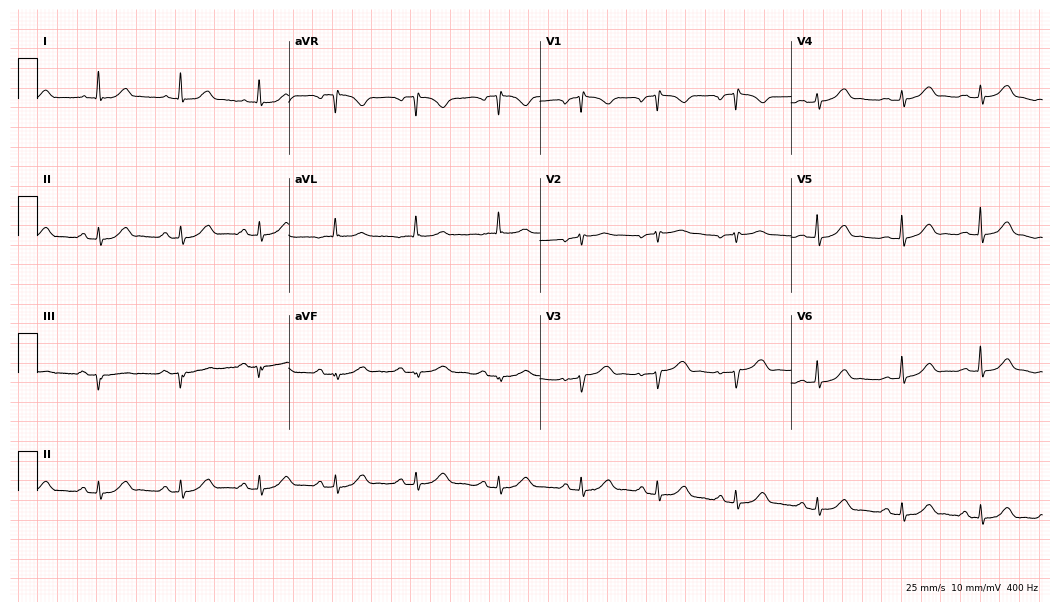
12-lead ECG from a female patient, 51 years old. Labelled as a normal ECG.